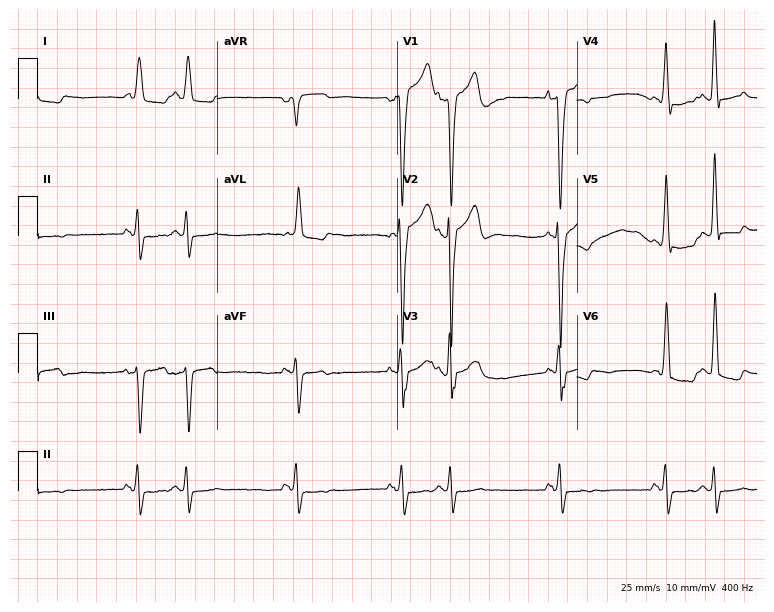
Standard 12-lead ECG recorded from a male, 79 years old (7.3-second recording at 400 Hz). None of these six findings is recorded: first-degree AV block, right bundle branch block (RBBB), left bundle branch block (LBBB), sinus bradycardia, atrial fibrillation (AF), sinus tachycardia.